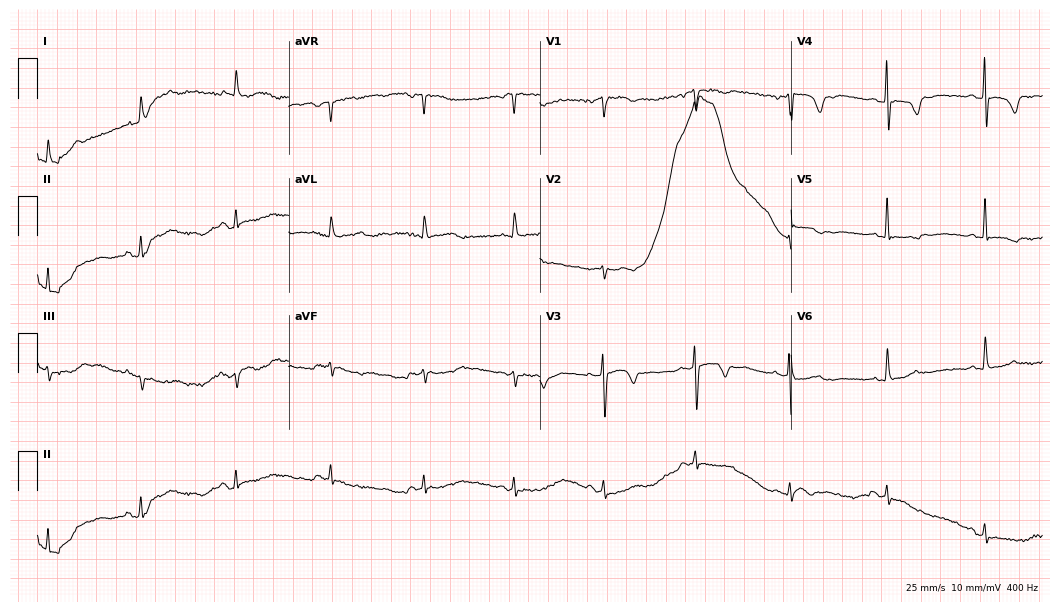
12-lead ECG from a 73-year-old female (10.2-second recording at 400 Hz). No first-degree AV block, right bundle branch block, left bundle branch block, sinus bradycardia, atrial fibrillation or sinus tachycardia recorded for this tracing.